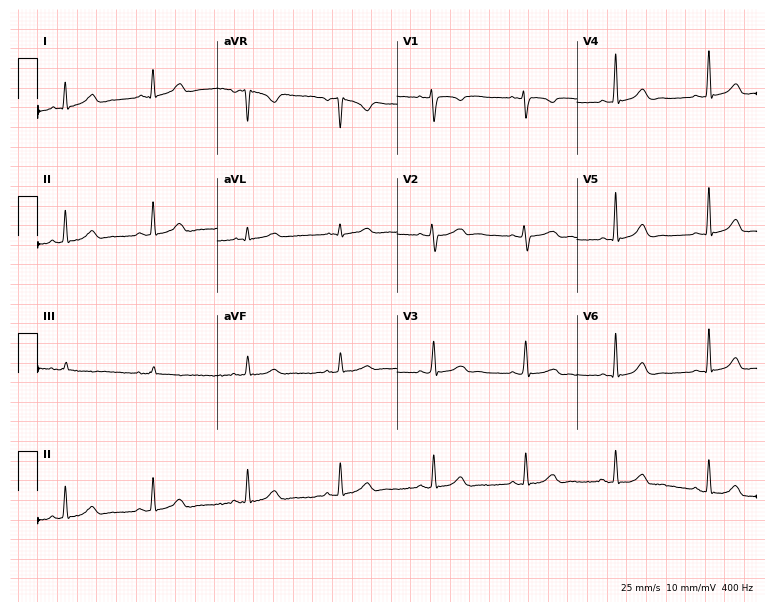
Electrocardiogram, a 24-year-old woman. Of the six screened findings (first-degree AV block, right bundle branch block, left bundle branch block, sinus bradycardia, atrial fibrillation, sinus tachycardia), none is recorded.